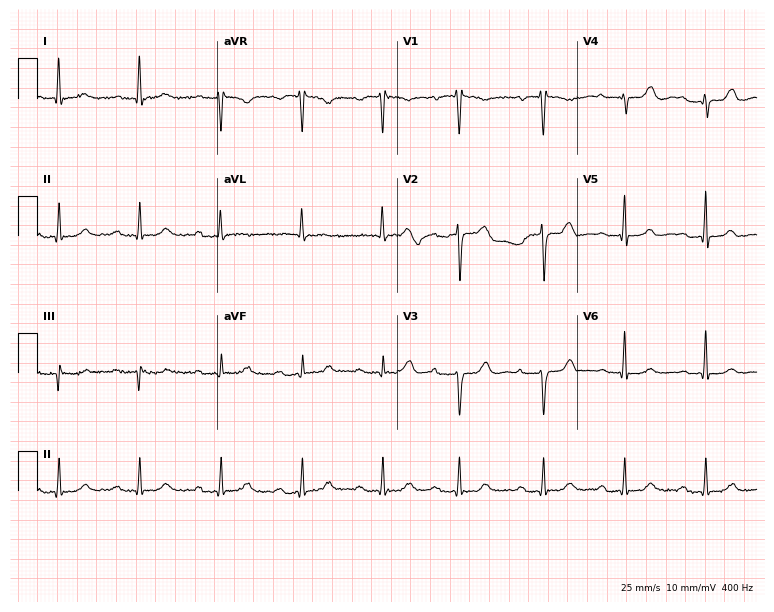
ECG — an 82-year-old woman. Findings include first-degree AV block.